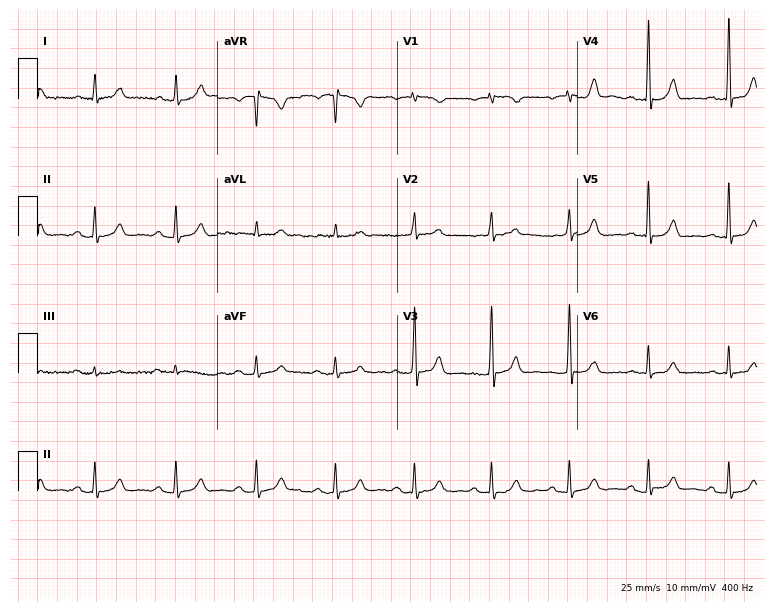
12-lead ECG from an 80-year-old woman. No first-degree AV block, right bundle branch block, left bundle branch block, sinus bradycardia, atrial fibrillation or sinus tachycardia recorded for this tracing.